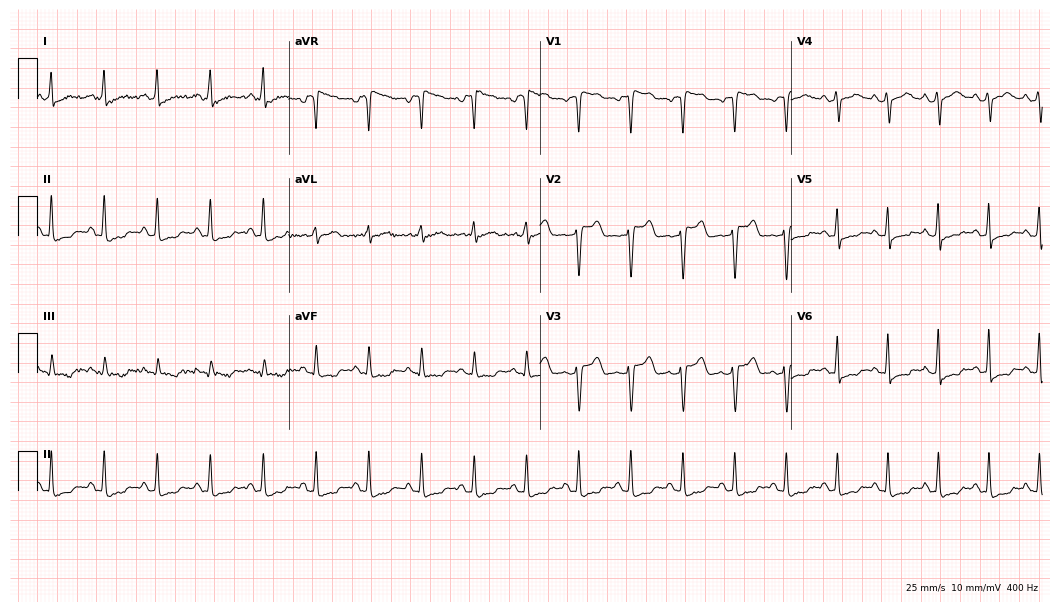
ECG (10.2-second recording at 400 Hz) — a female patient, 47 years old. Screened for six findings — first-degree AV block, right bundle branch block, left bundle branch block, sinus bradycardia, atrial fibrillation, sinus tachycardia — none is recorded.